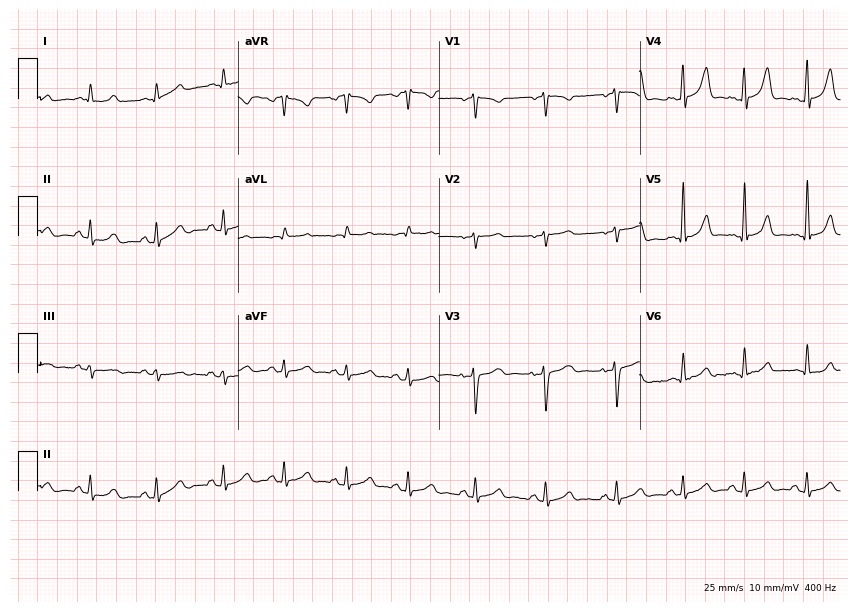
Electrocardiogram (8.2-second recording at 400 Hz), a 25-year-old female patient. Of the six screened findings (first-degree AV block, right bundle branch block (RBBB), left bundle branch block (LBBB), sinus bradycardia, atrial fibrillation (AF), sinus tachycardia), none is recorded. Other findings, if any, are not listed.